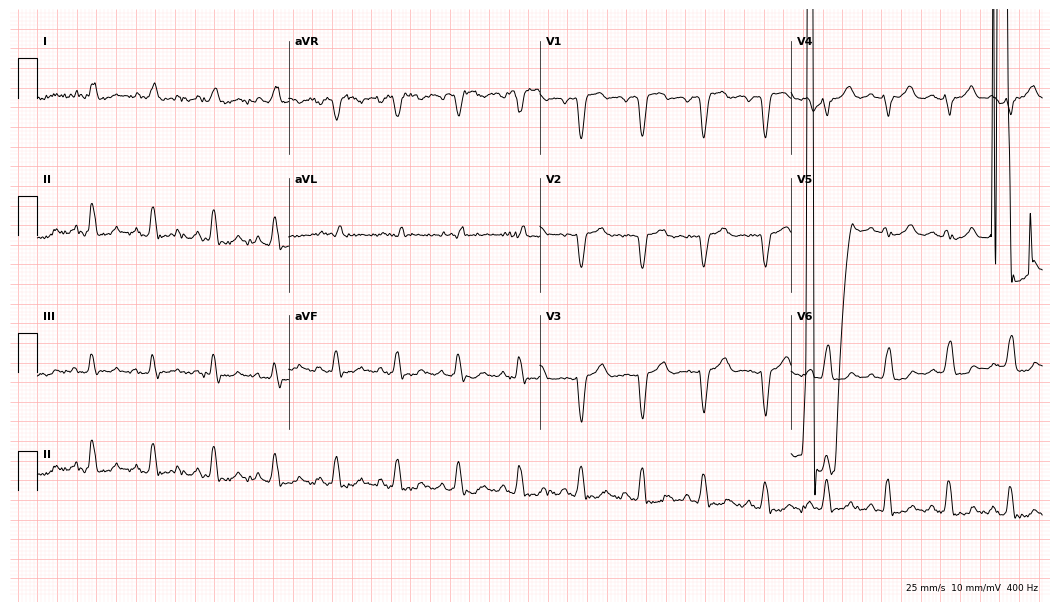
12-lead ECG from an 84-year-old man (10.2-second recording at 400 Hz). No first-degree AV block, right bundle branch block, left bundle branch block, sinus bradycardia, atrial fibrillation or sinus tachycardia recorded for this tracing. Only these six findings were labelled.